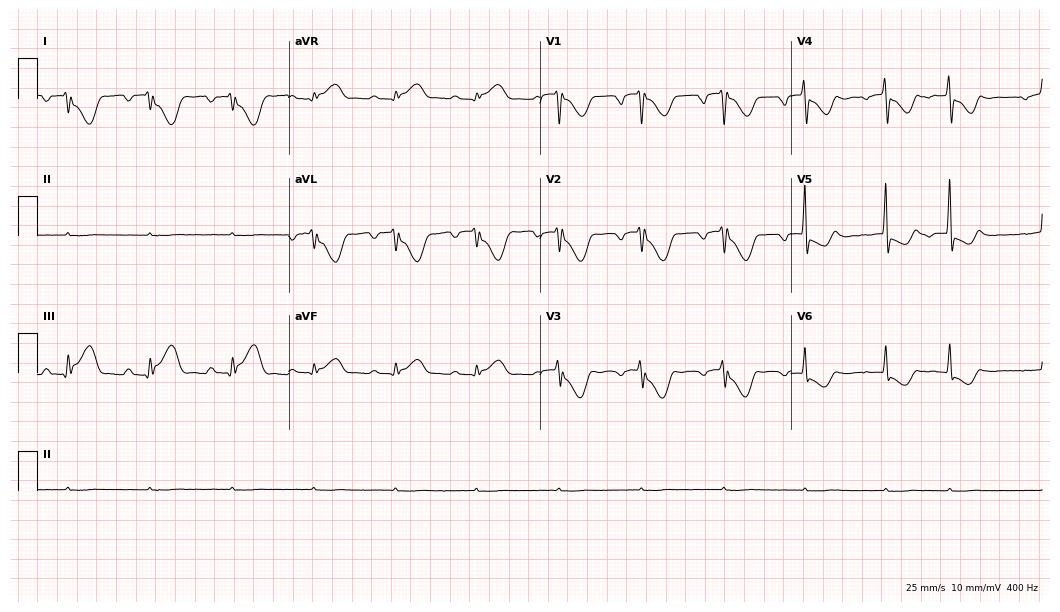
Resting 12-lead electrocardiogram (10.2-second recording at 400 Hz). Patient: an 82-year-old male. None of these six findings is recorded: first-degree AV block, right bundle branch block, left bundle branch block, sinus bradycardia, atrial fibrillation, sinus tachycardia. Other findings, if any, are not listed.